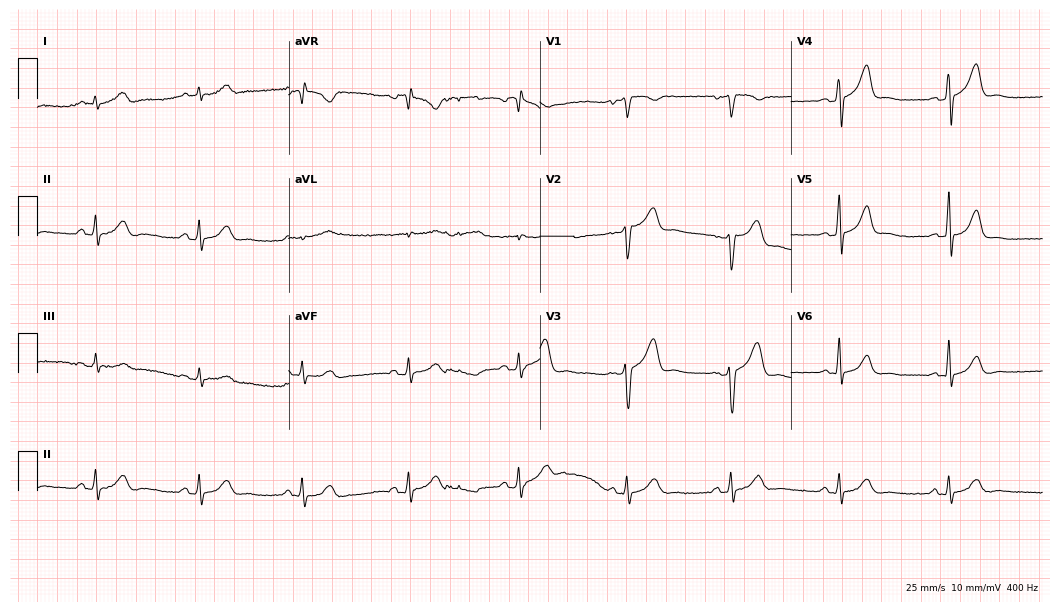
ECG (10.2-second recording at 400 Hz) — a male patient, 40 years old. Screened for six findings — first-degree AV block, right bundle branch block, left bundle branch block, sinus bradycardia, atrial fibrillation, sinus tachycardia — none is recorded. Findings outside these six are not listed.